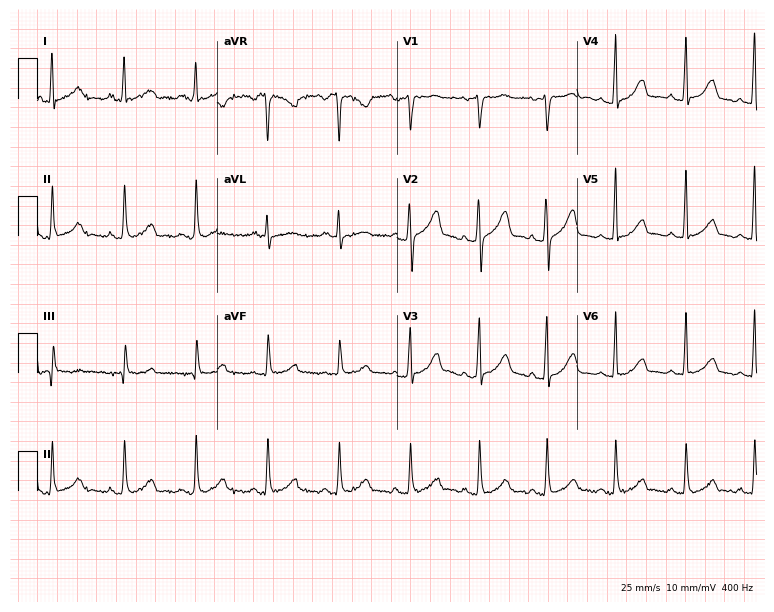
Standard 12-lead ECG recorded from a 37-year-old man. None of these six findings is recorded: first-degree AV block, right bundle branch block, left bundle branch block, sinus bradycardia, atrial fibrillation, sinus tachycardia.